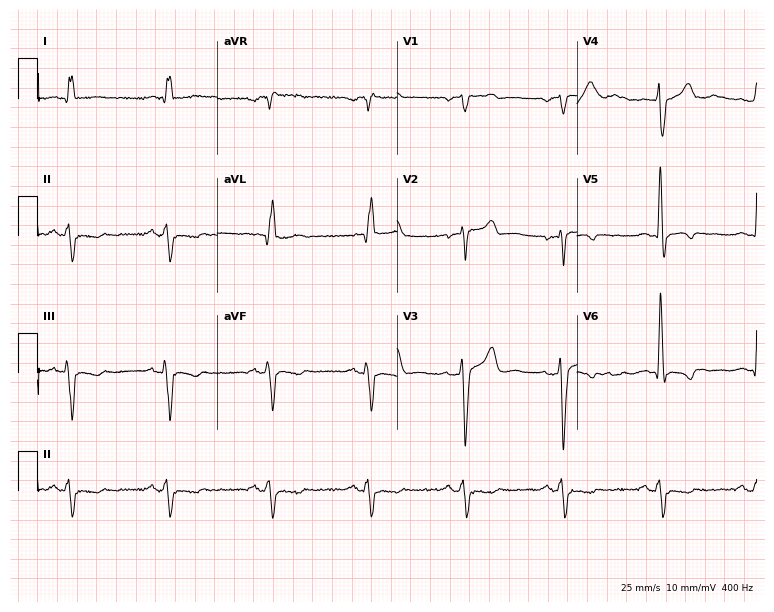
Standard 12-lead ECG recorded from a 50-year-old male. None of these six findings is recorded: first-degree AV block, right bundle branch block (RBBB), left bundle branch block (LBBB), sinus bradycardia, atrial fibrillation (AF), sinus tachycardia. Other findings, if any, are not listed.